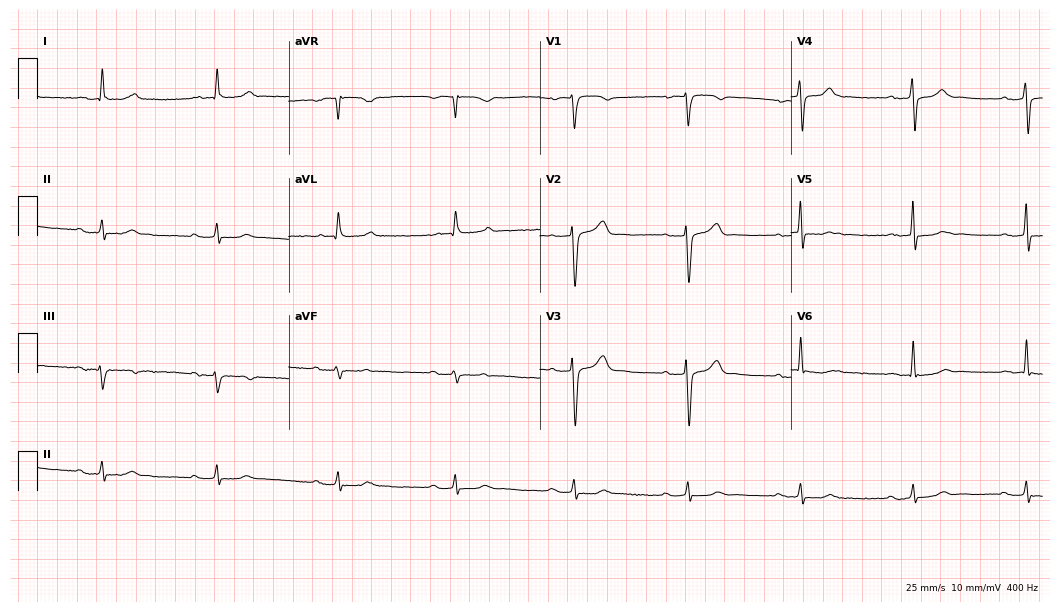
Standard 12-lead ECG recorded from a male patient, 76 years old. The tracing shows first-degree AV block.